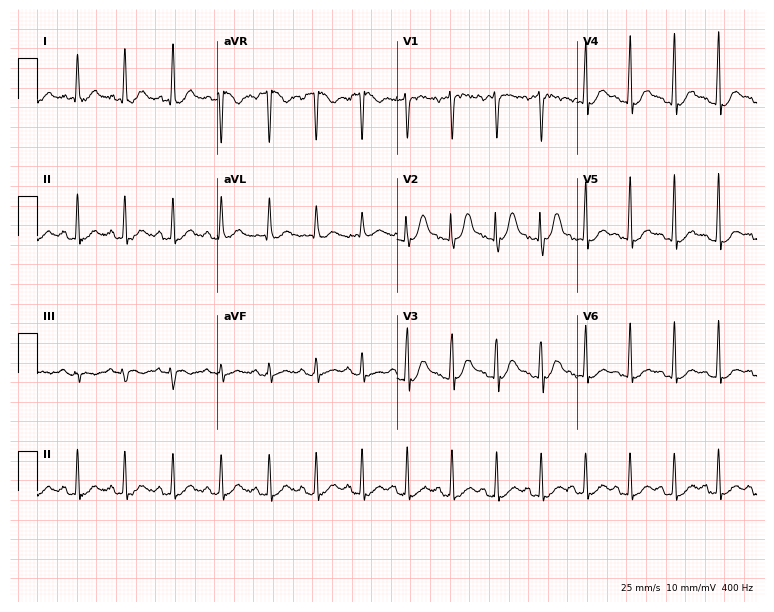
Resting 12-lead electrocardiogram. Patient: a male, 21 years old. The tracing shows sinus tachycardia (a sinus rate of 100 beats per minute or more).